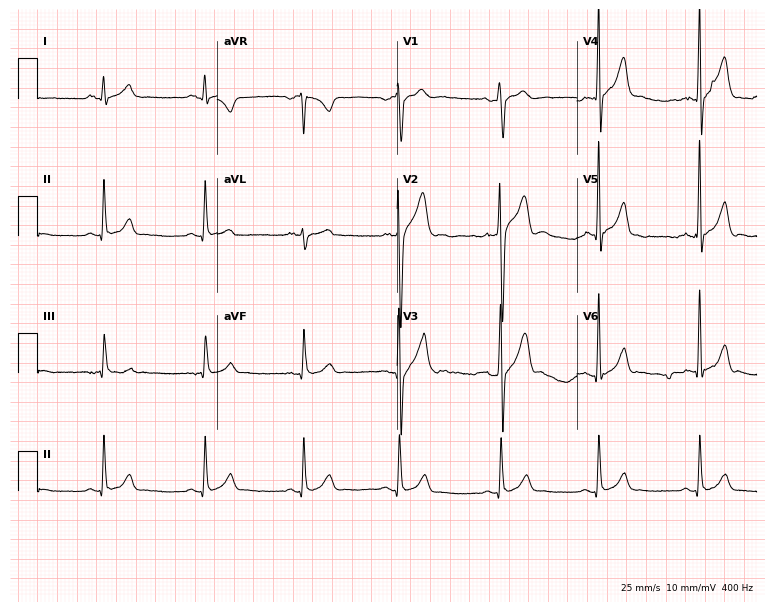
Standard 12-lead ECG recorded from a male patient, 19 years old. Read as a normal ECG.